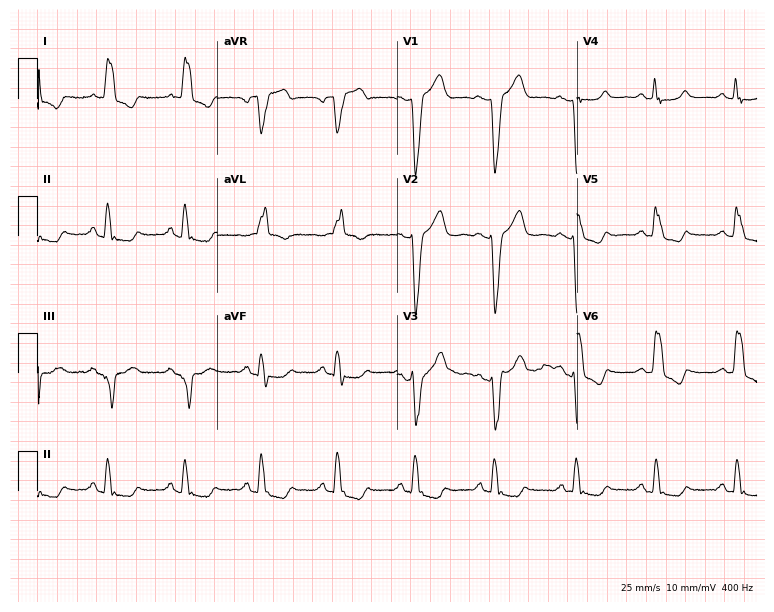
Resting 12-lead electrocardiogram (7.3-second recording at 400 Hz). Patient: a female, 74 years old. The tracing shows left bundle branch block.